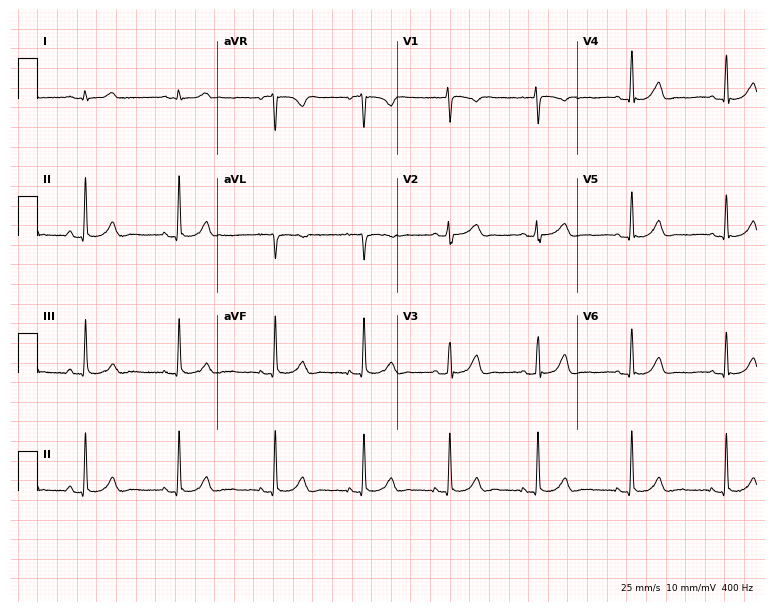
Electrocardiogram, a woman, 19 years old. Overall reading on record: normal ECG.